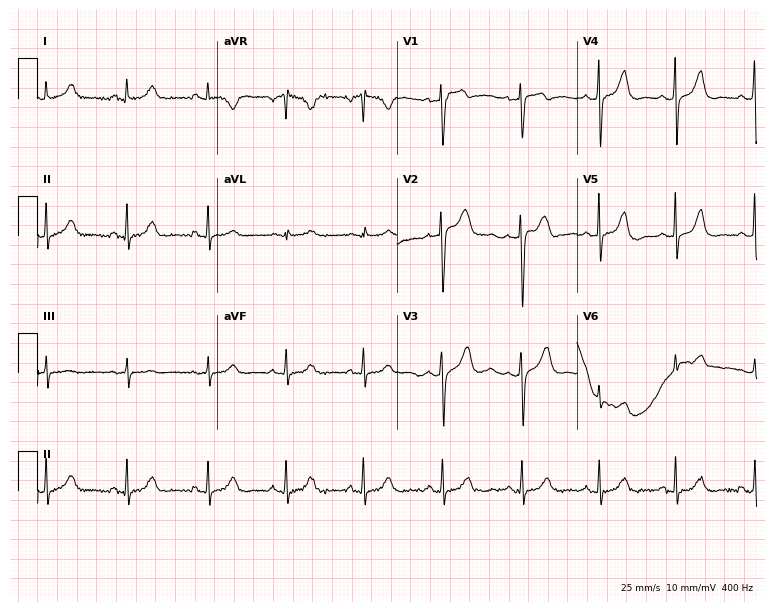
12-lead ECG from a female patient, 36 years old (7.3-second recording at 400 Hz). Recorded interpretation: within normal limits.